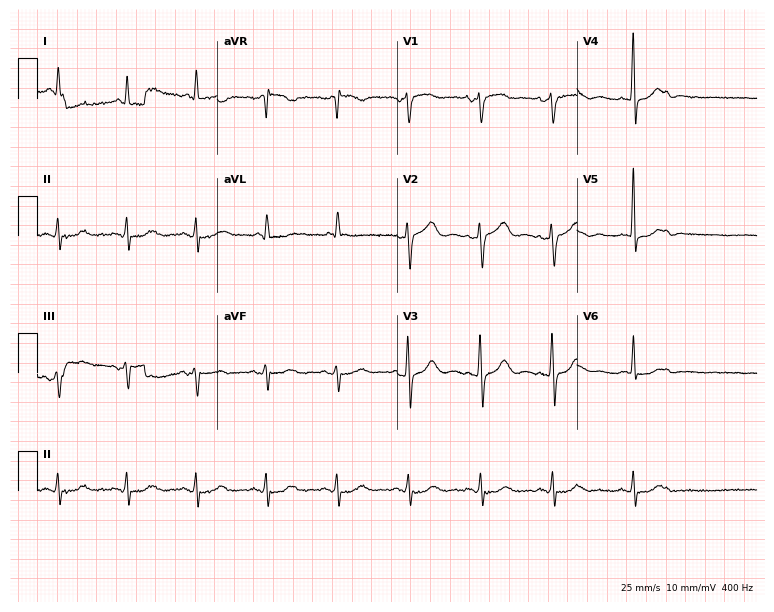
Electrocardiogram, a male patient, 81 years old. Of the six screened findings (first-degree AV block, right bundle branch block, left bundle branch block, sinus bradycardia, atrial fibrillation, sinus tachycardia), none is recorded.